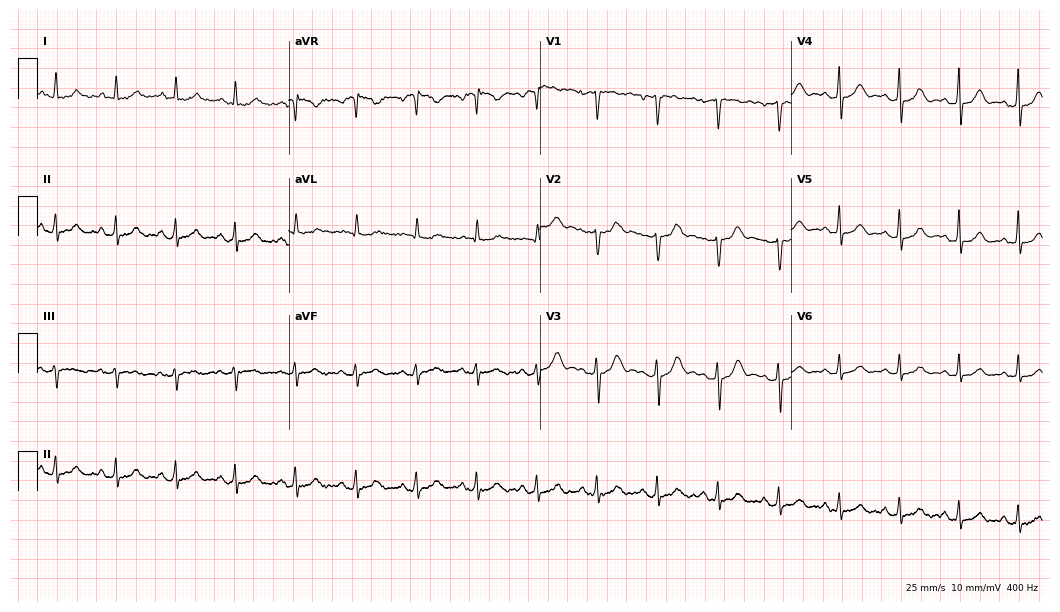
Resting 12-lead electrocardiogram. Patient: a male, 51 years old. Read as a normal ECG.